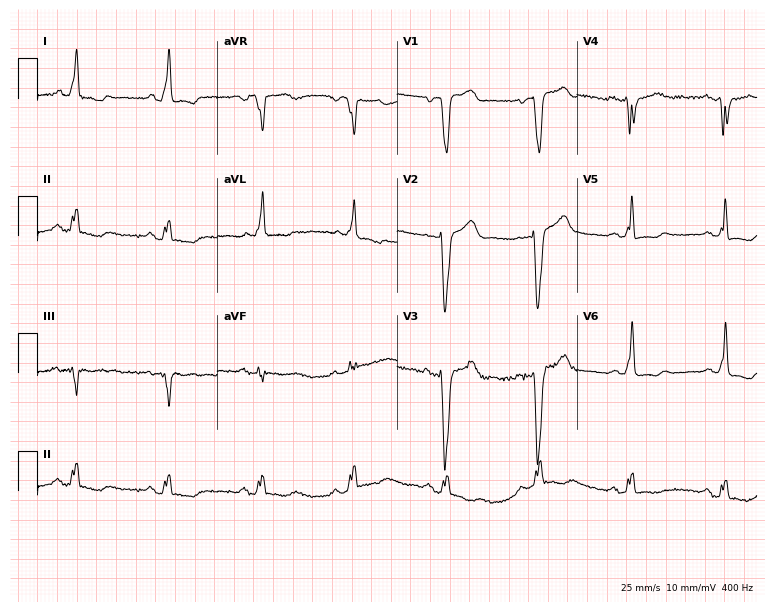
12-lead ECG from a female, 70 years old. Findings include left bundle branch block.